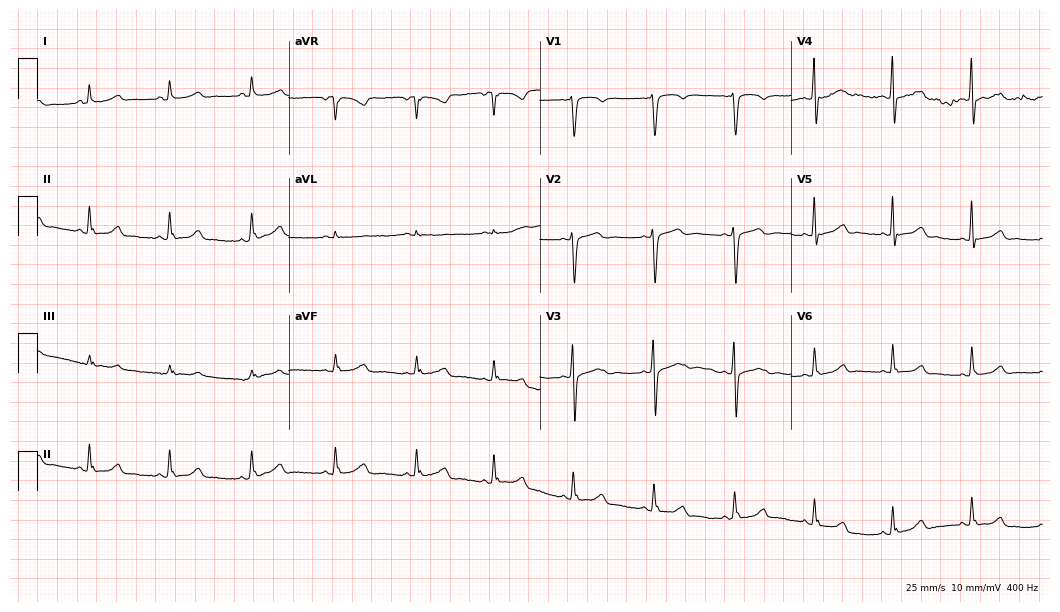
Standard 12-lead ECG recorded from a 46-year-old female patient (10.2-second recording at 400 Hz). None of these six findings is recorded: first-degree AV block, right bundle branch block (RBBB), left bundle branch block (LBBB), sinus bradycardia, atrial fibrillation (AF), sinus tachycardia. Only these six findings were labelled.